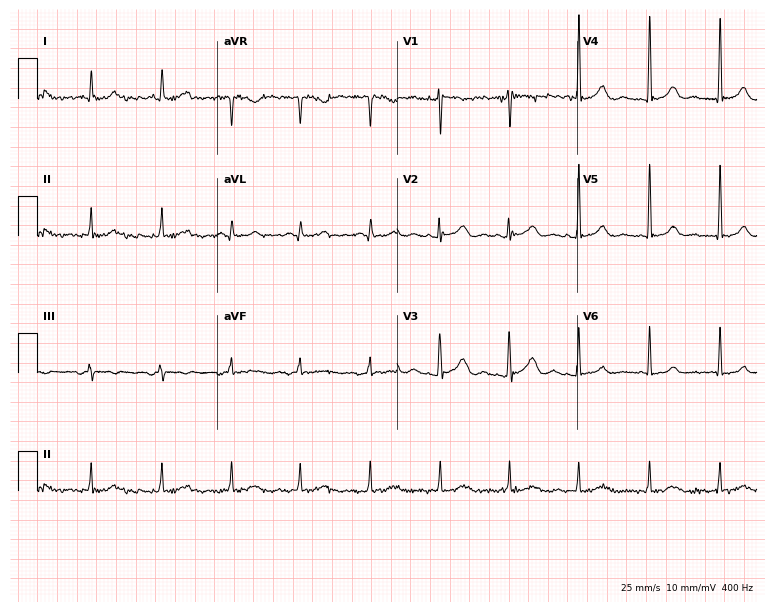
12-lead ECG from a 40-year-old woman. Screened for six findings — first-degree AV block, right bundle branch block, left bundle branch block, sinus bradycardia, atrial fibrillation, sinus tachycardia — none is recorded.